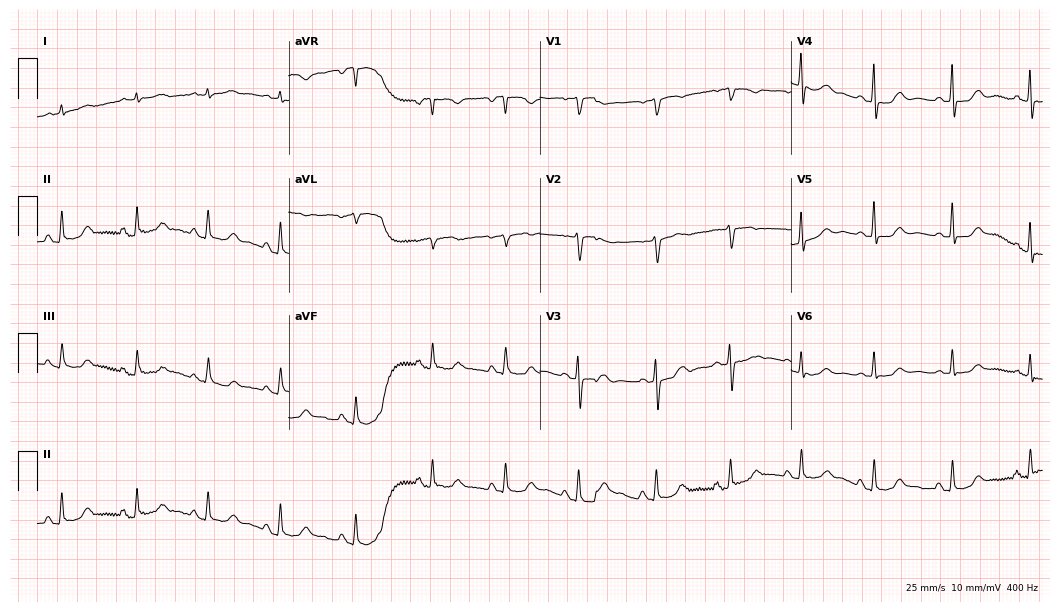
Electrocardiogram (10.2-second recording at 400 Hz), a 65-year-old man. Of the six screened findings (first-degree AV block, right bundle branch block, left bundle branch block, sinus bradycardia, atrial fibrillation, sinus tachycardia), none is recorded. Findings outside these six are not listed.